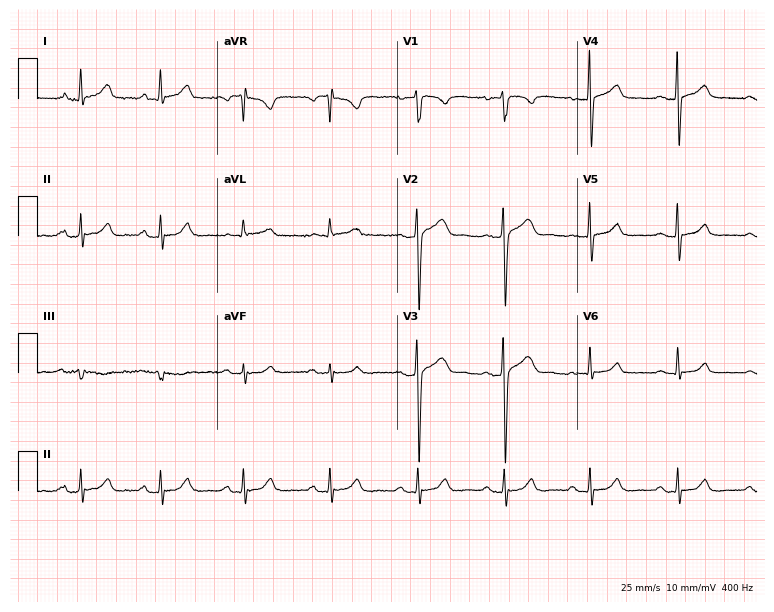
ECG — a male, 33 years old. Labelled as a normal ECG.